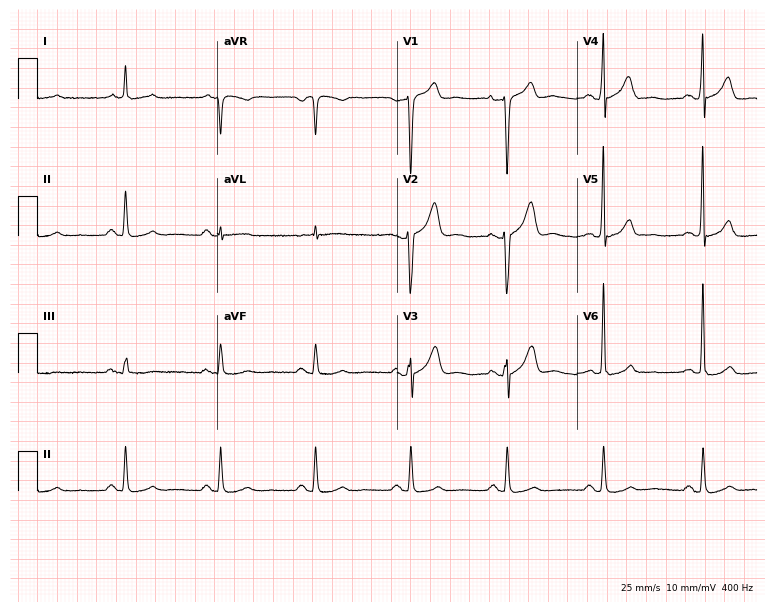
Electrocardiogram (7.3-second recording at 400 Hz), a male patient, 65 years old. Overall reading on record: normal ECG.